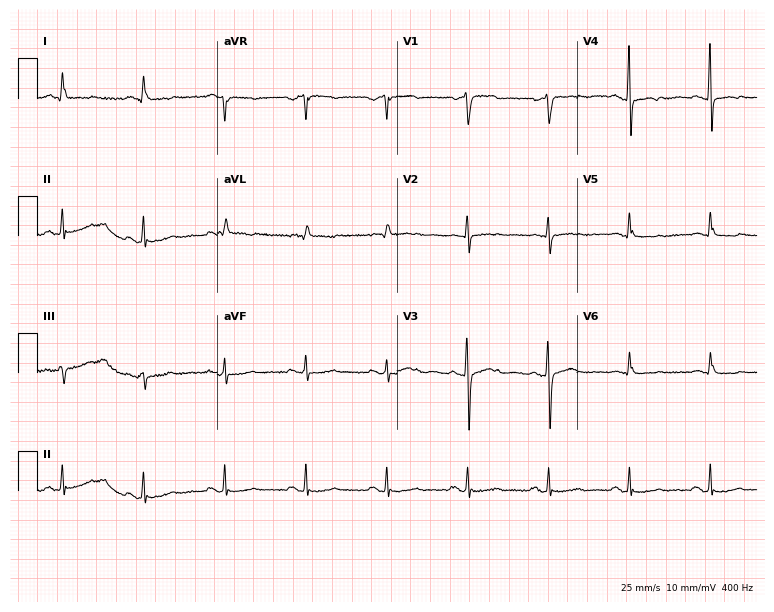
Standard 12-lead ECG recorded from a woman, 61 years old. None of these six findings is recorded: first-degree AV block, right bundle branch block, left bundle branch block, sinus bradycardia, atrial fibrillation, sinus tachycardia. Other findings, if any, are not listed.